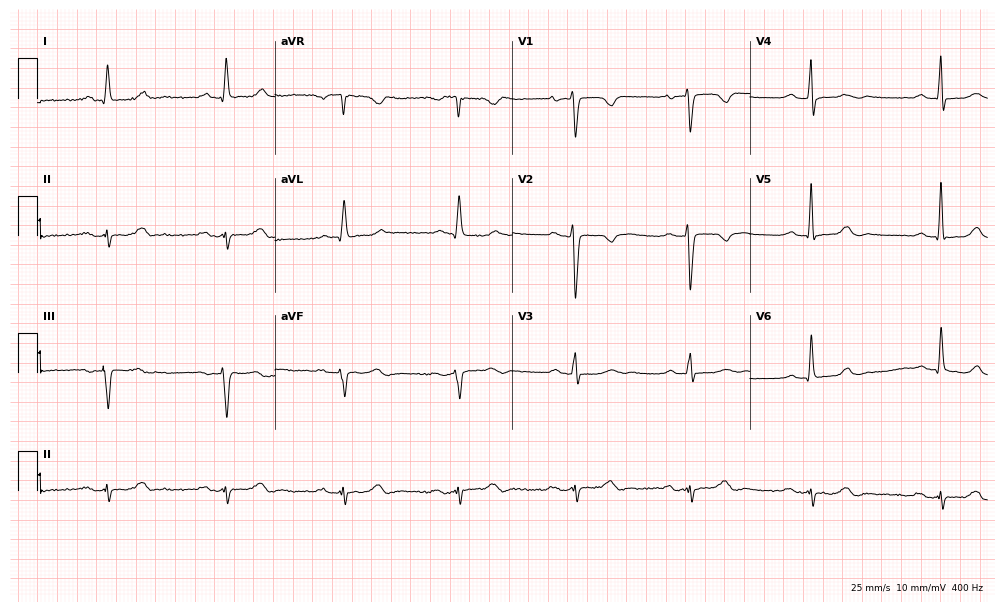
12-lead ECG from a female, 79 years old. Labelled as a normal ECG.